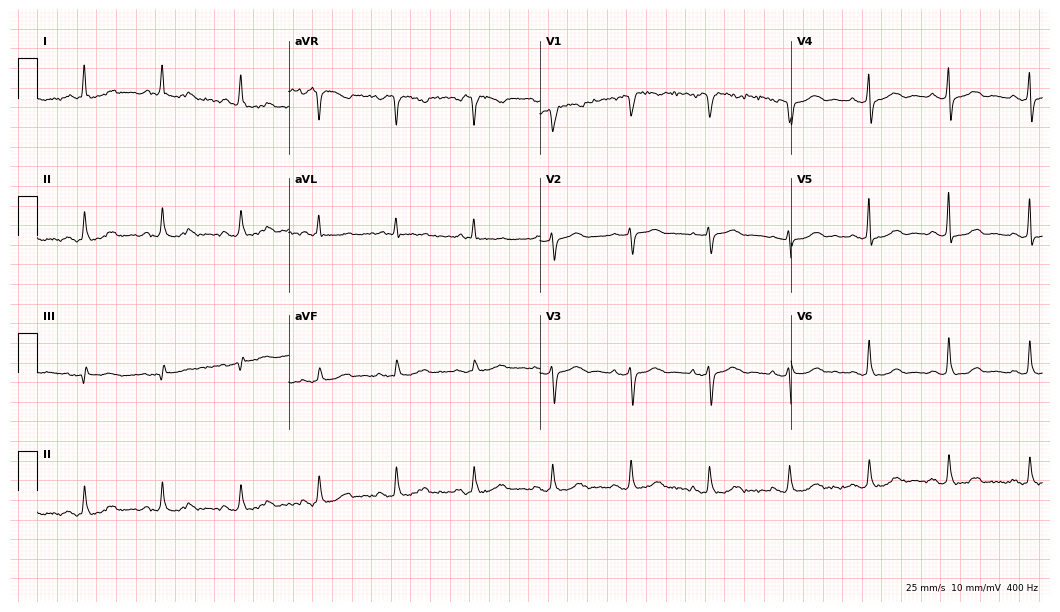
ECG (10.2-second recording at 400 Hz) — a 74-year-old female patient. Labelled as a normal ECG.